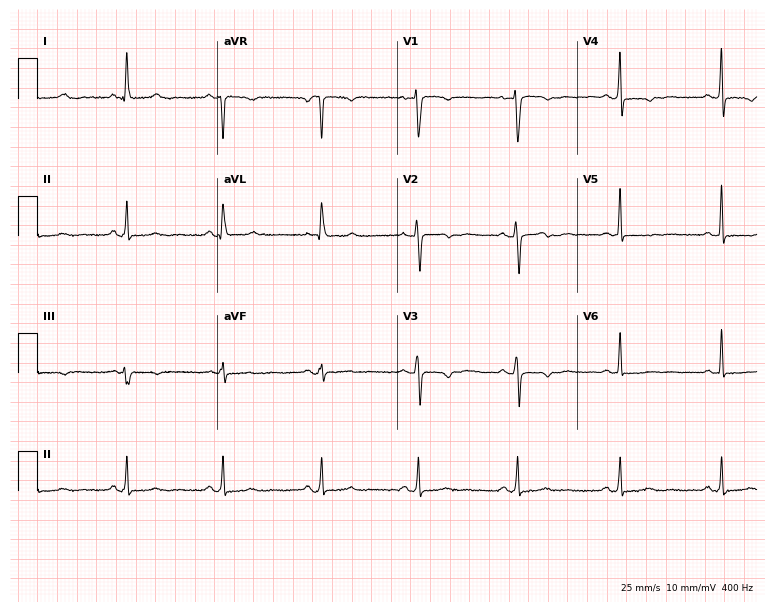
Resting 12-lead electrocardiogram. Patient: a woman, 57 years old. None of these six findings is recorded: first-degree AV block, right bundle branch block (RBBB), left bundle branch block (LBBB), sinus bradycardia, atrial fibrillation (AF), sinus tachycardia.